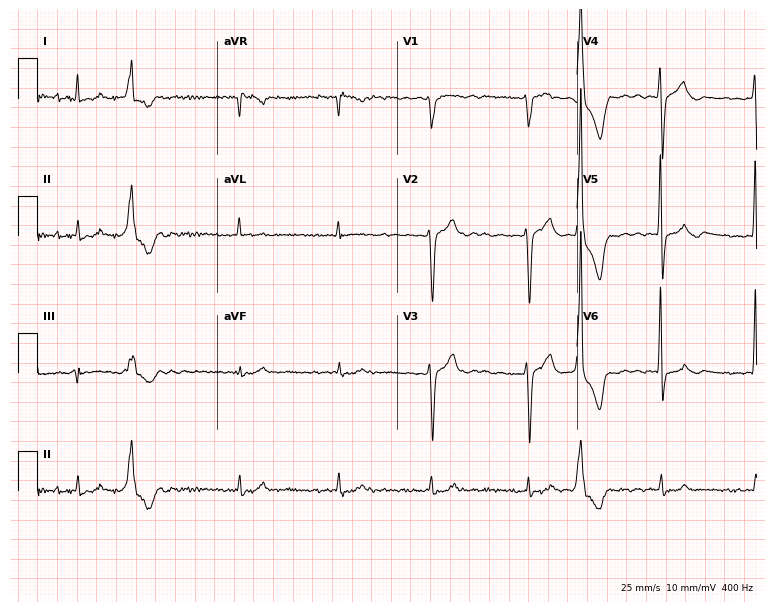
12-lead ECG (7.3-second recording at 400 Hz) from a 79-year-old male. Findings include atrial fibrillation.